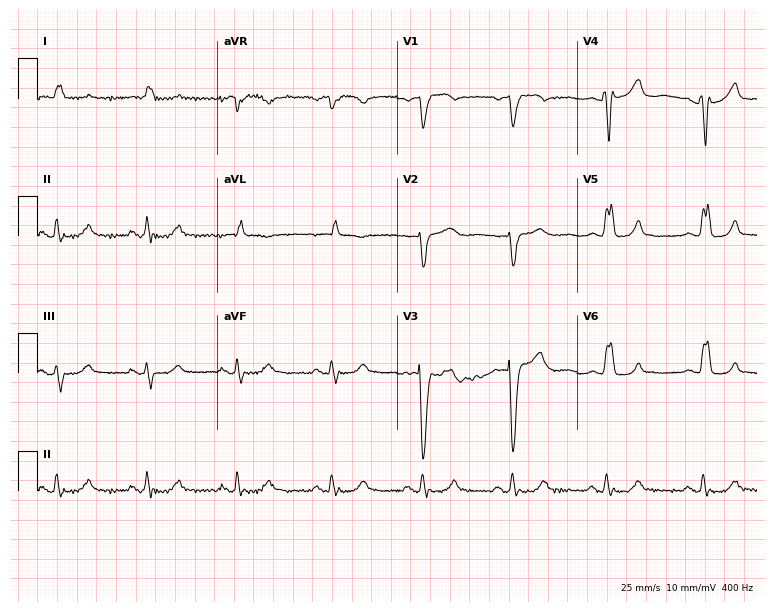
ECG (7.3-second recording at 400 Hz) — an 85-year-old female. Findings include left bundle branch block.